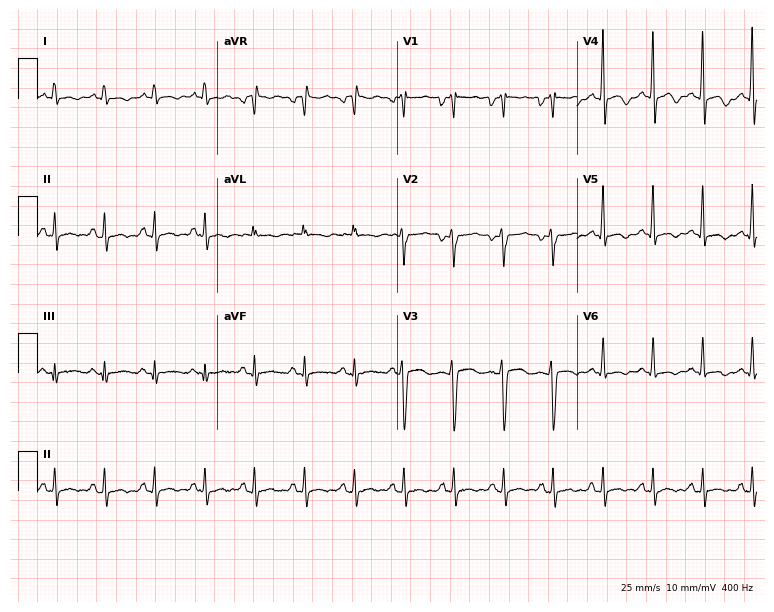
Resting 12-lead electrocardiogram. Patient: a female, 18 years old. The tracing shows sinus tachycardia (a sinus rate of 100 beats per minute or more).